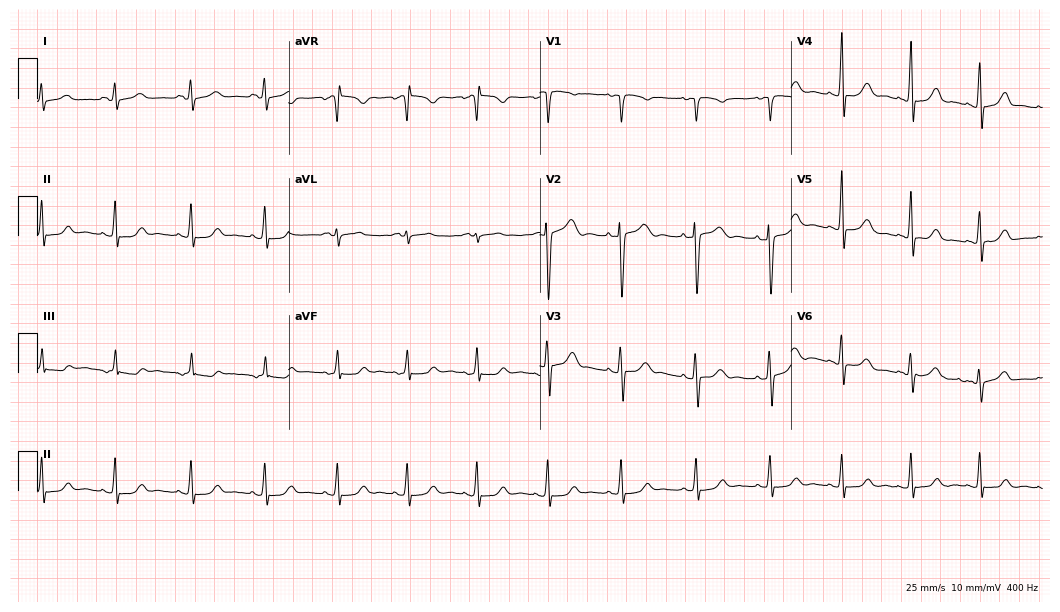
ECG (10.2-second recording at 400 Hz) — a 20-year-old woman. Labelled as a normal ECG.